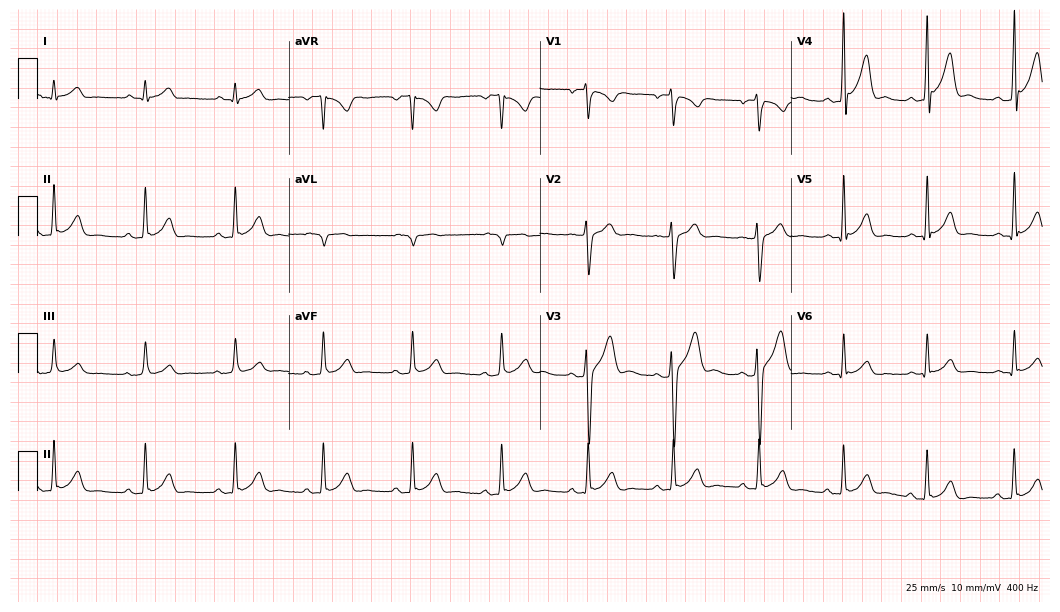
12-lead ECG from a 24-year-old woman. No first-degree AV block, right bundle branch block (RBBB), left bundle branch block (LBBB), sinus bradycardia, atrial fibrillation (AF) or sinus tachycardia recorded for this tracing.